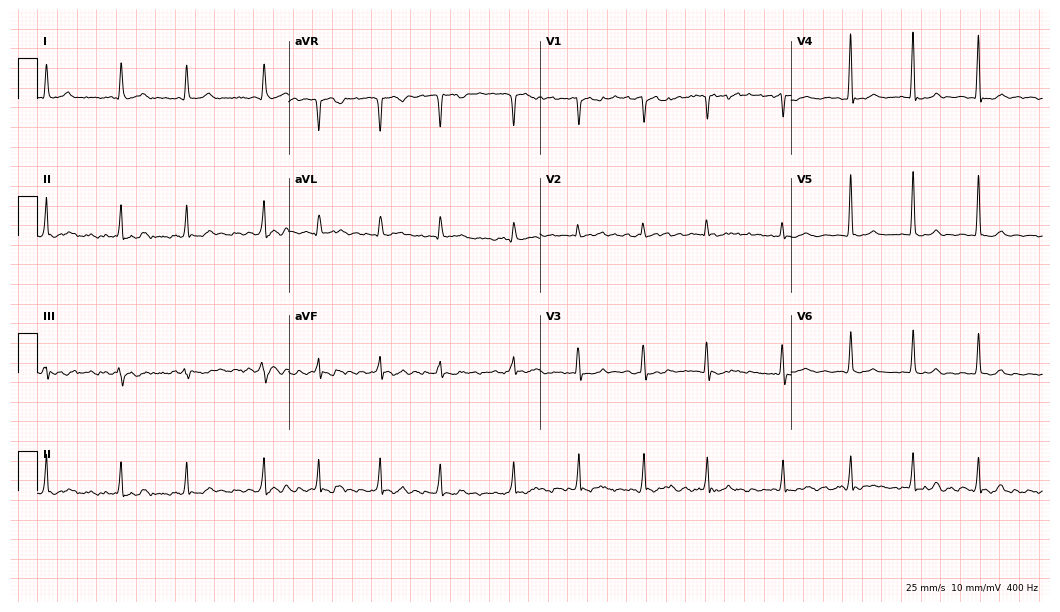
ECG (10.2-second recording at 400 Hz) — a 75-year-old woman. Findings include atrial fibrillation (AF).